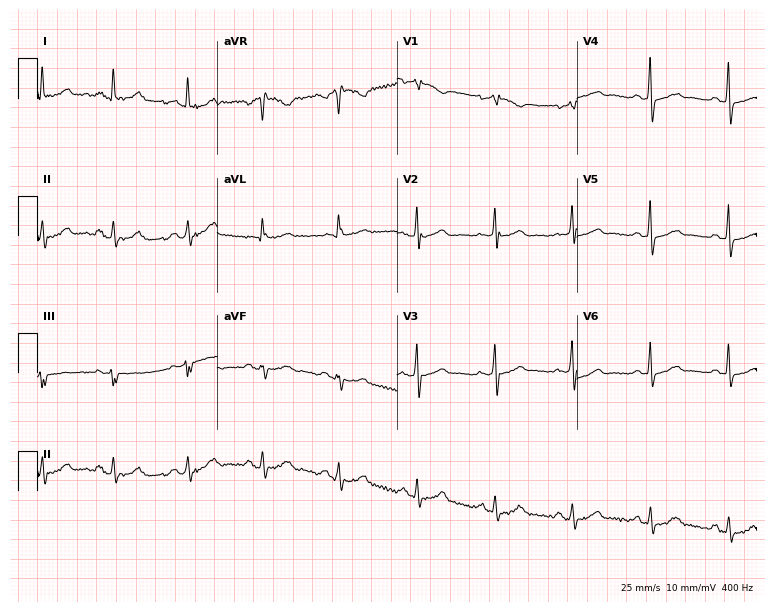
ECG (7.3-second recording at 400 Hz) — a 57-year-old female. Screened for six findings — first-degree AV block, right bundle branch block (RBBB), left bundle branch block (LBBB), sinus bradycardia, atrial fibrillation (AF), sinus tachycardia — none is recorded.